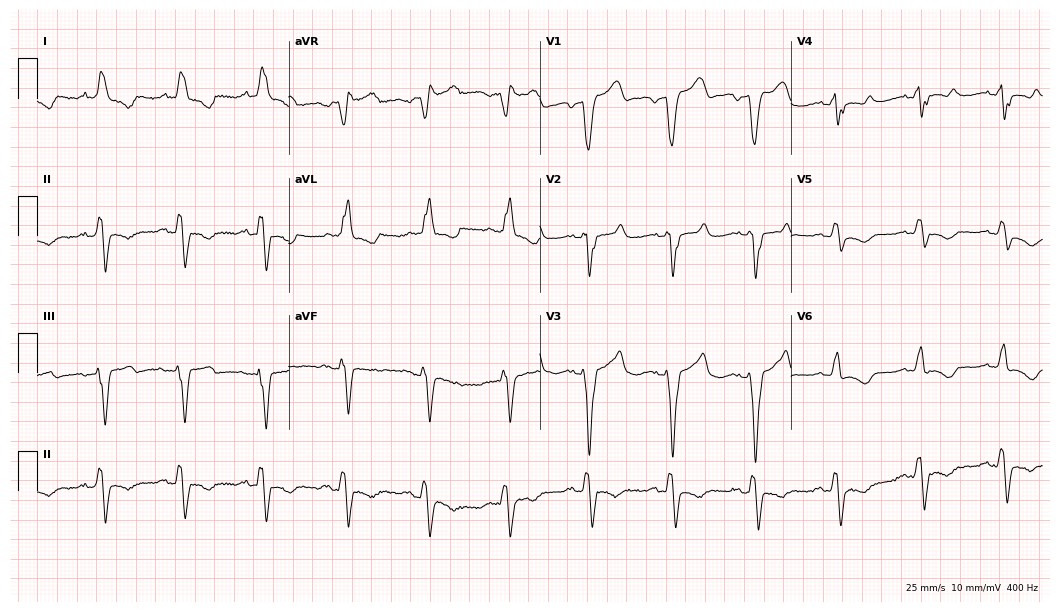
Standard 12-lead ECG recorded from a 65-year-old female. The tracing shows left bundle branch block (LBBB).